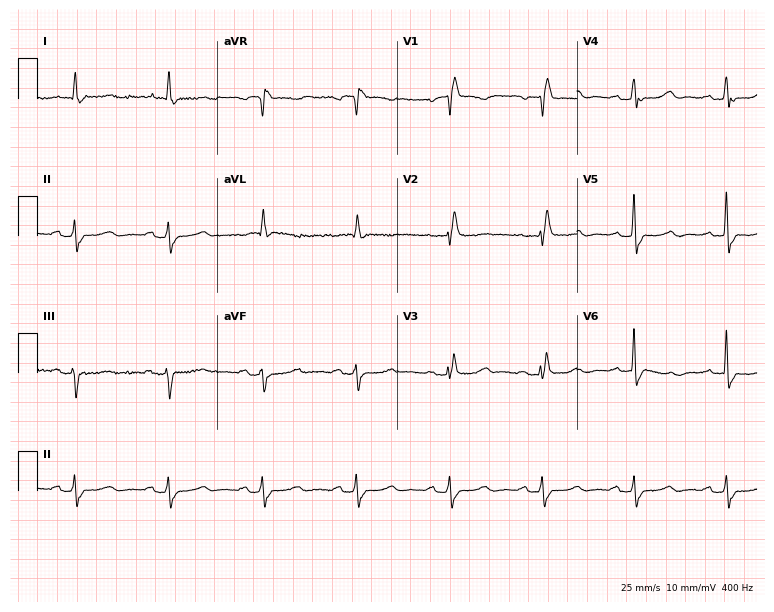
12-lead ECG from an 80-year-old female (7.3-second recording at 400 Hz). Shows right bundle branch block.